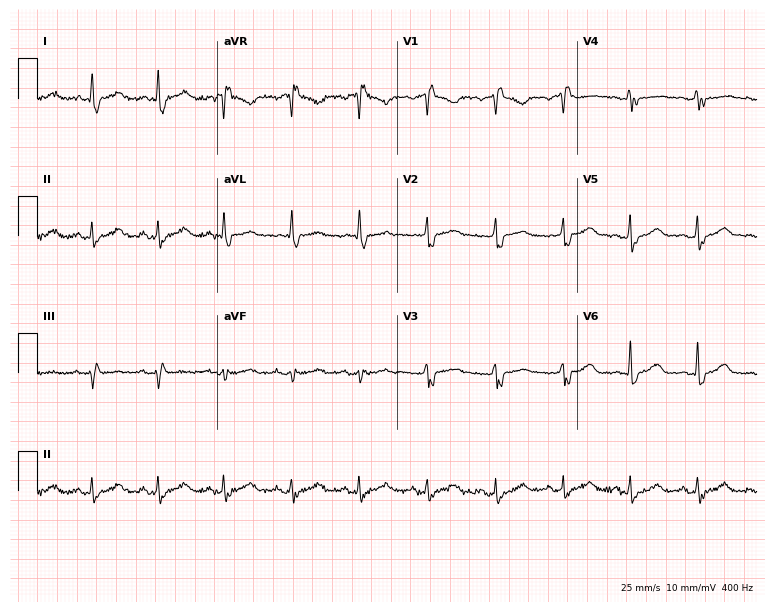
Standard 12-lead ECG recorded from a 55-year-old woman. The tracing shows right bundle branch block (RBBB).